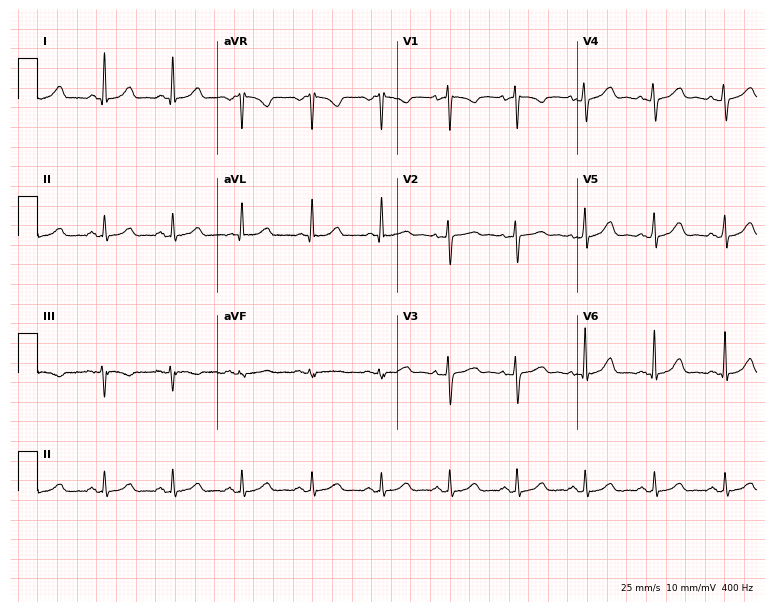
Resting 12-lead electrocardiogram. Patient: a 42-year-old woman. Read as a normal ECG.